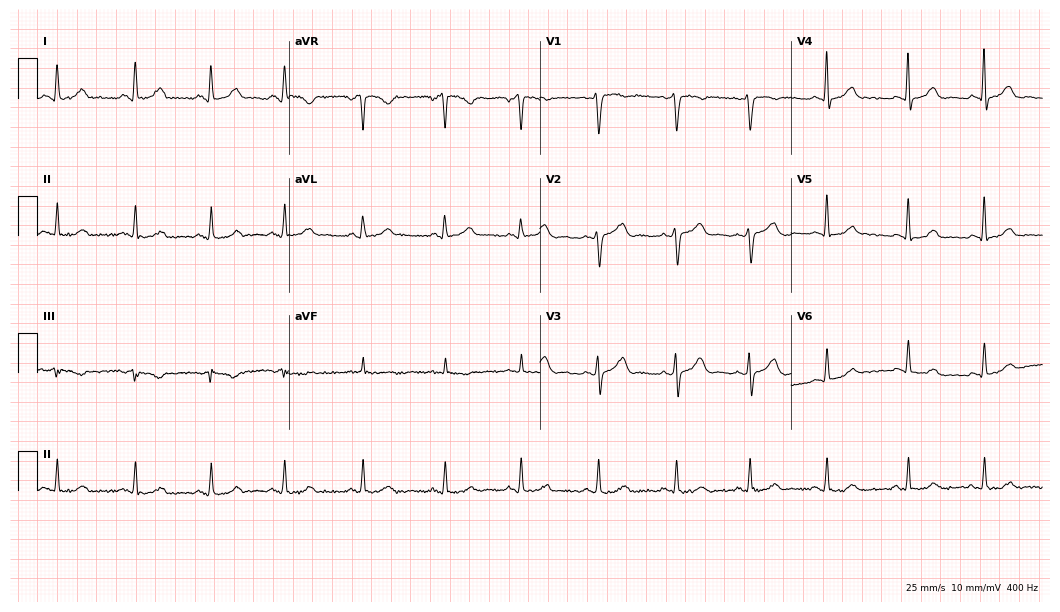
Standard 12-lead ECG recorded from a 35-year-old woman. Read as a normal ECG.